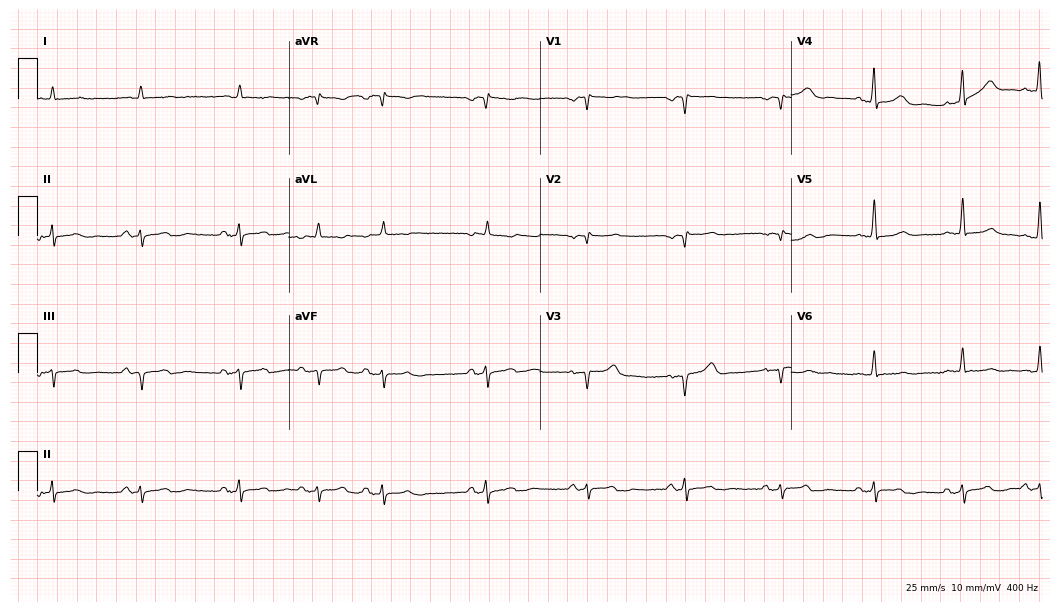
12-lead ECG from a man, 81 years old (10.2-second recording at 400 Hz). No first-degree AV block, right bundle branch block, left bundle branch block, sinus bradycardia, atrial fibrillation or sinus tachycardia recorded for this tracing.